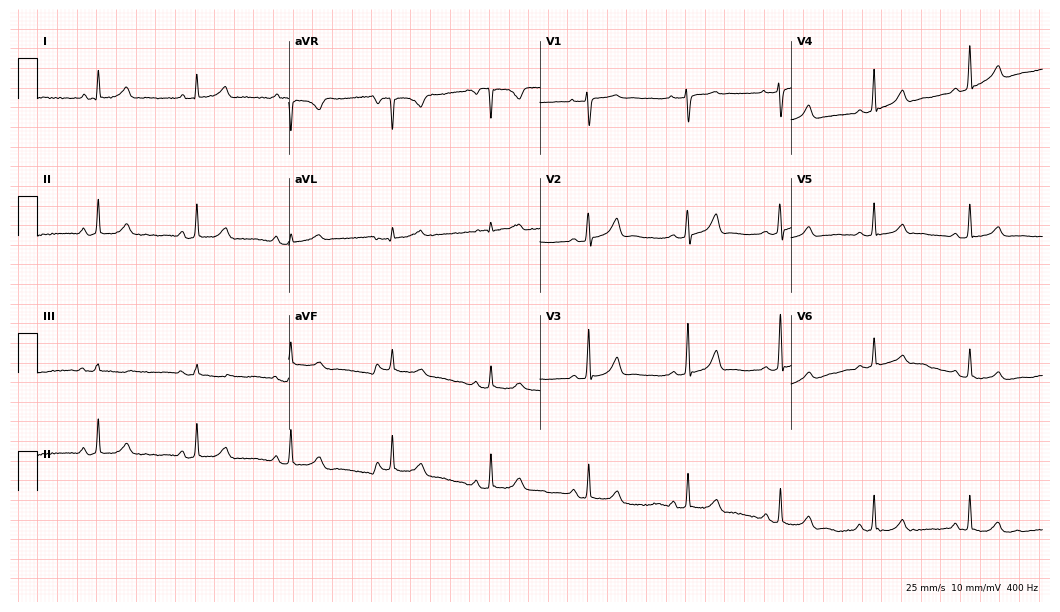
Standard 12-lead ECG recorded from a 34-year-old female patient (10.2-second recording at 400 Hz). Read as a normal ECG.